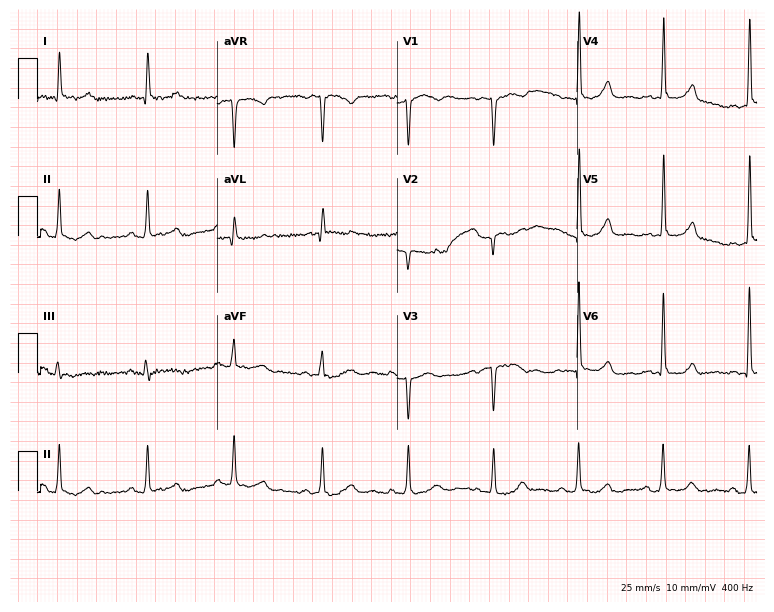
Resting 12-lead electrocardiogram. Patient: a 57-year-old female. None of these six findings is recorded: first-degree AV block, right bundle branch block, left bundle branch block, sinus bradycardia, atrial fibrillation, sinus tachycardia.